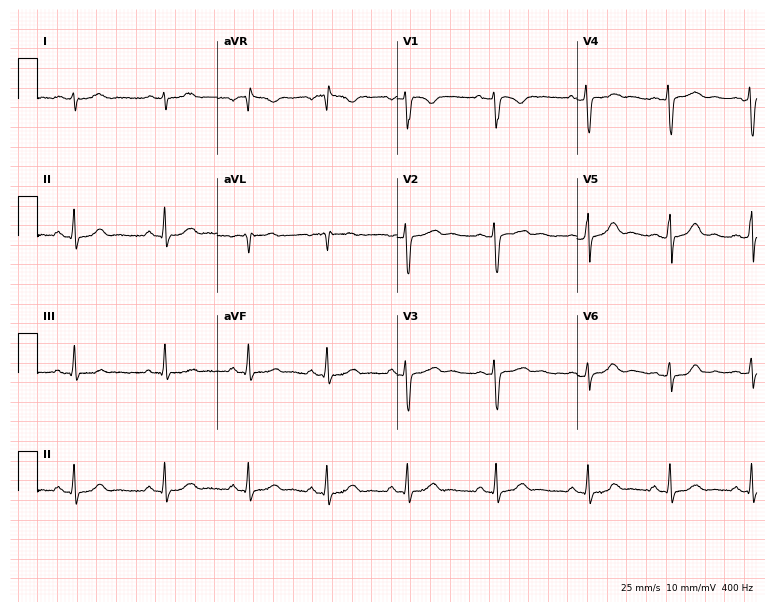
12-lead ECG from a woman, 22 years old. Screened for six findings — first-degree AV block, right bundle branch block, left bundle branch block, sinus bradycardia, atrial fibrillation, sinus tachycardia — none is recorded. Only these six findings were labelled.